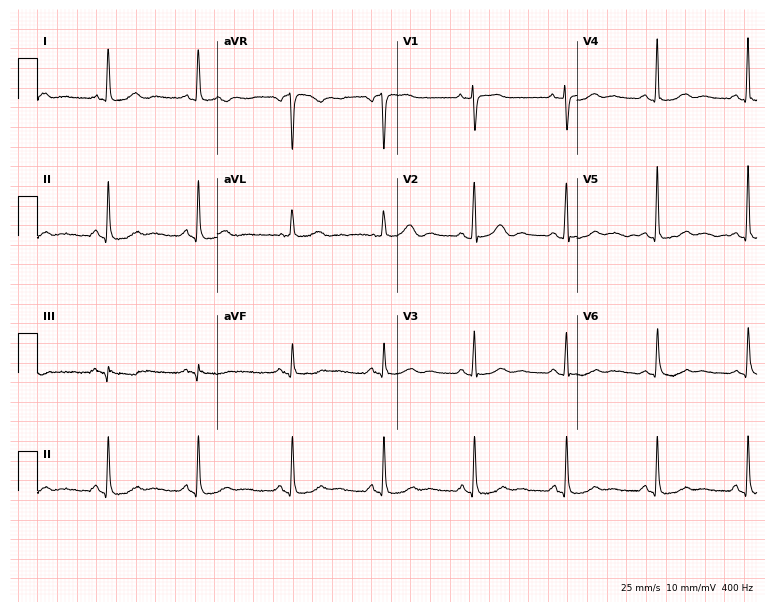
Electrocardiogram (7.3-second recording at 400 Hz), a female patient, 80 years old. Of the six screened findings (first-degree AV block, right bundle branch block, left bundle branch block, sinus bradycardia, atrial fibrillation, sinus tachycardia), none is recorded. Findings outside these six are not listed.